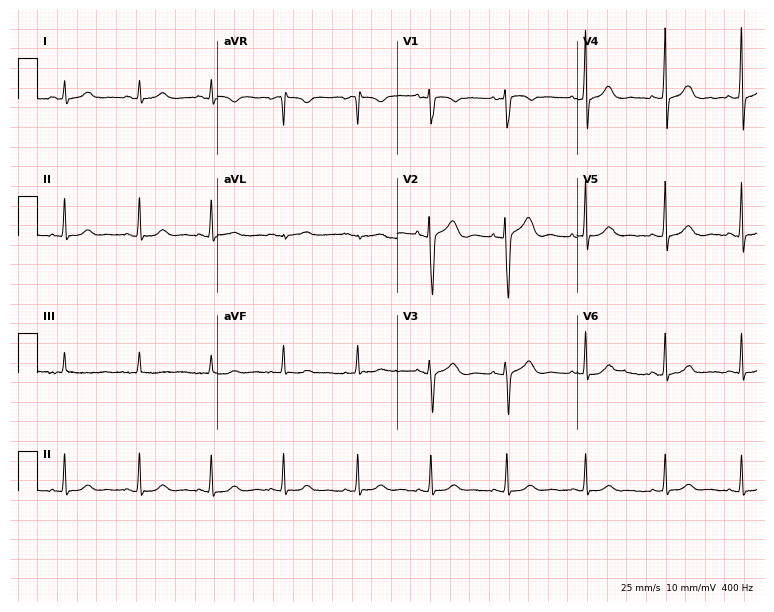
Standard 12-lead ECG recorded from a female patient, 32 years old (7.3-second recording at 400 Hz). None of these six findings is recorded: first-degree AV block, right bundle branch block, left bundle branch block, sinus bradycardia, atrial fibrillation, sinus tachycardia. Other findings, if any, are not listed.